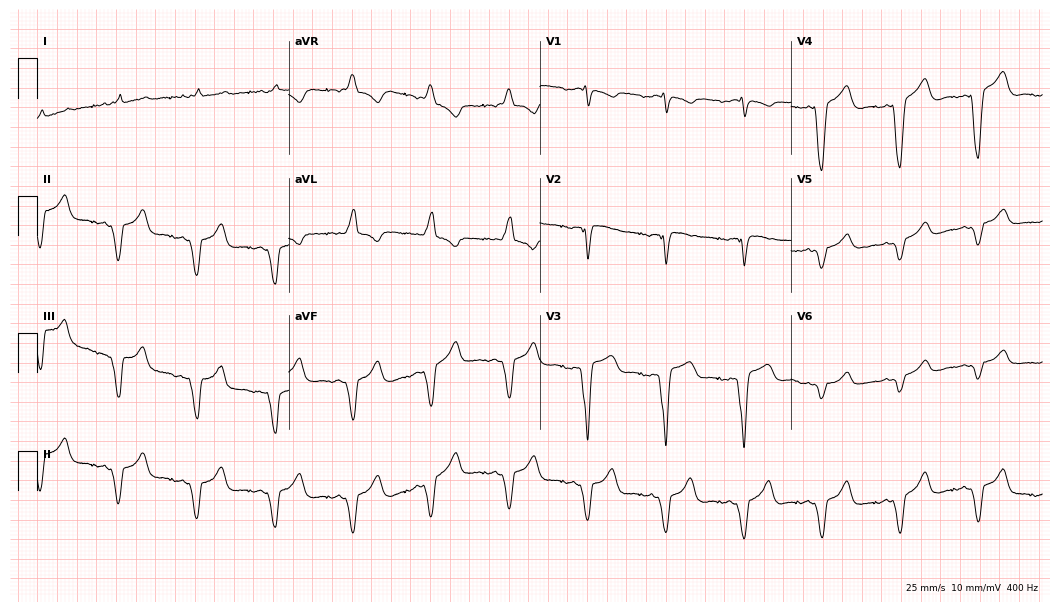
12-lead ECG from a 64-year-old female patient. No first-degree AV block, right bundle branch block, left bundle branch block, sinus bradycardia, atrial fibrillation or sinus tachycardia recorded for this tracing.